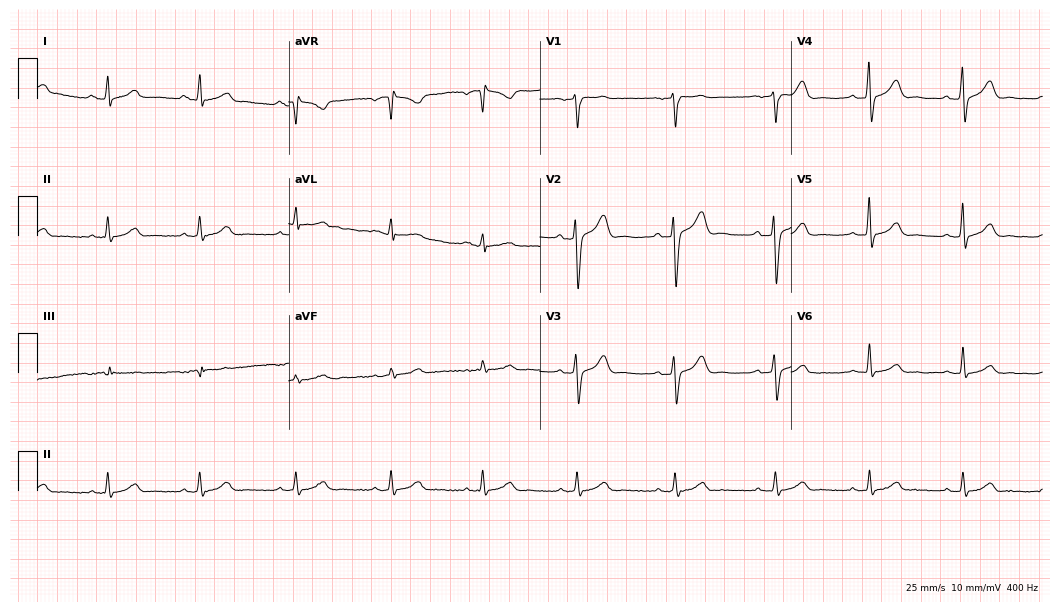
12-lead ECG (10.2-second recording at 400 Hz) from a 46-year-old male. Labelled as a normal ECG.